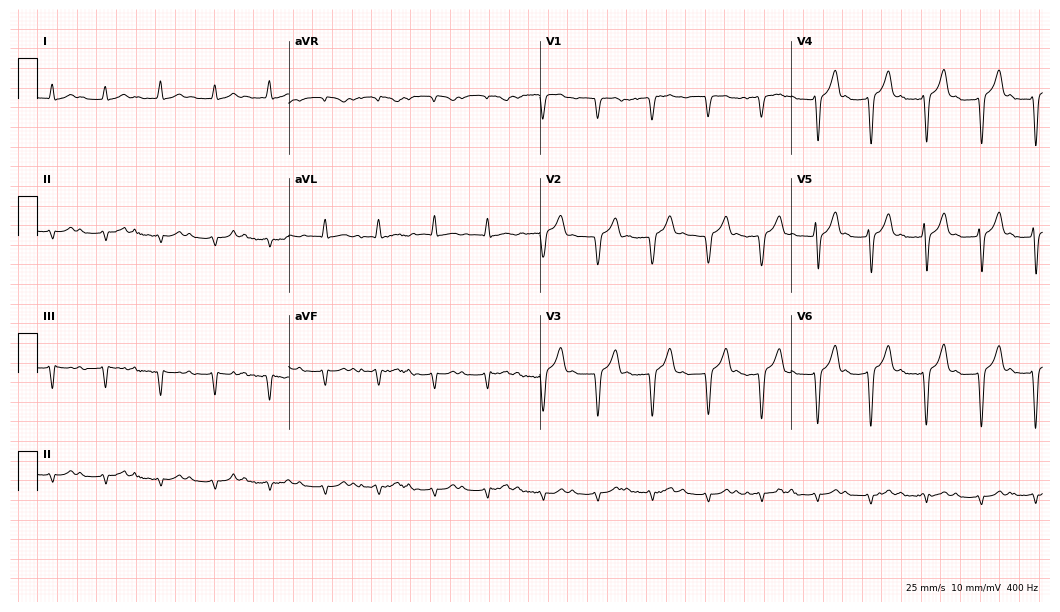
Electrocardiogram, a man, 71 years old. Interpretation includes sinus tachycardia (a sinus rate of 100 beats per minute or more).